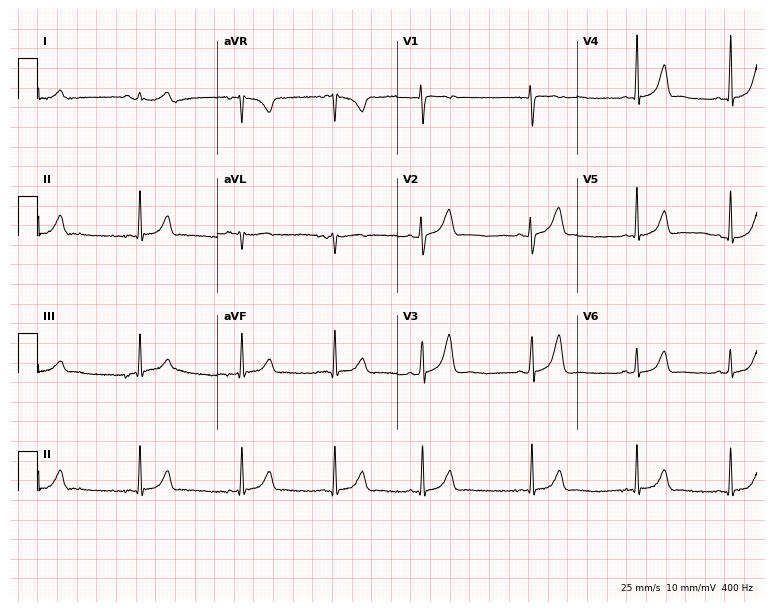
12-lead ECG from a female, 22 years old. No first-degree AV block, right bundle branch block, left bundle branch block, sinus bradycardia, atrial fibrillation or sinus tachycardia recorded for this tracing.